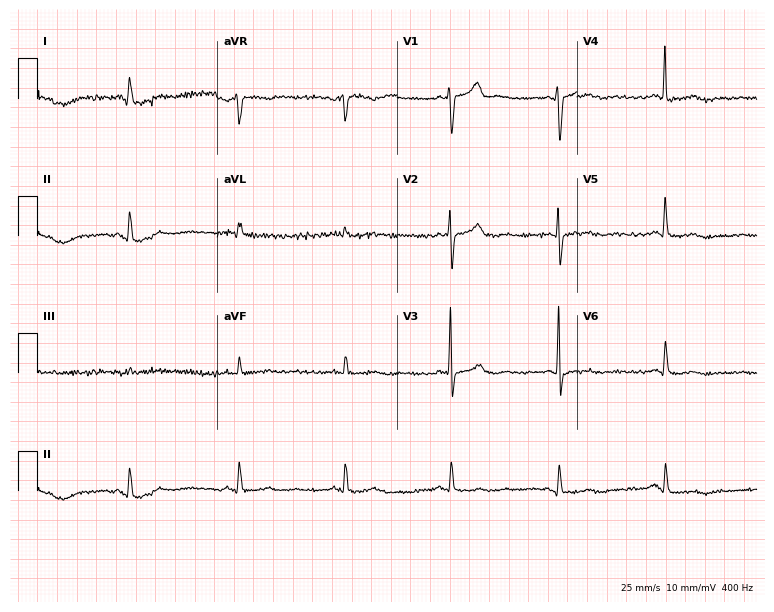
Standard 12-lead ECG recorded from a male patient, 58 years old (7.3-second recording at 400 Hz). None of these six findings is recorded: first-degree AV block, right bundle branch block (RBBB), left bundle branch block (LBBB), sinus bradycardia, atrial fibrillation (AF), sinus tachycardia. Findings outside these six are not listed.